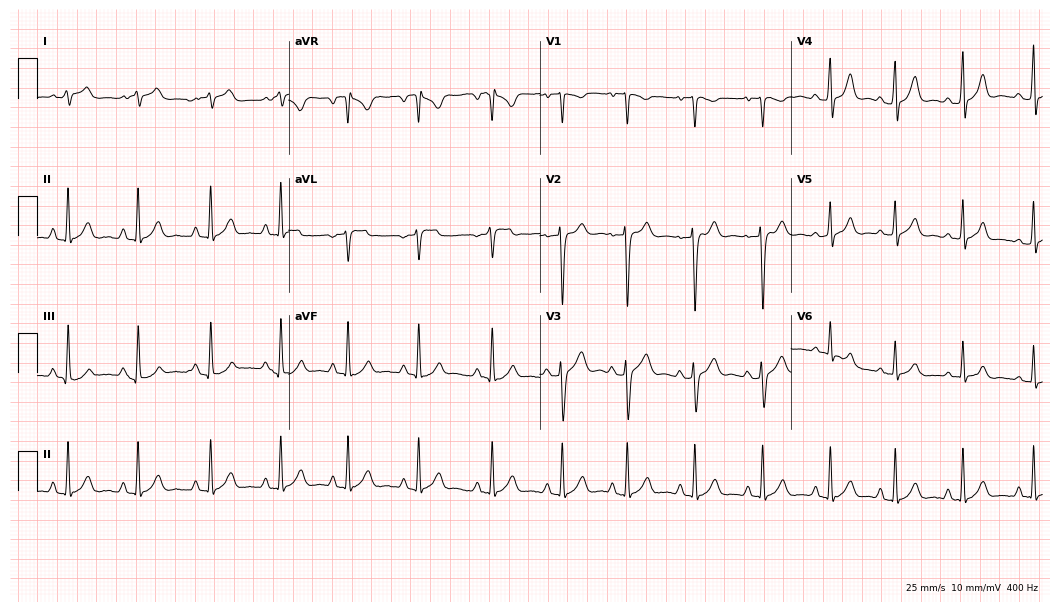
ECG (10.2-second recording at 400 Hz) — a male patient, 23 years old. Screened for six findings — first-degree AV block, right bundle branch block, left bundle branch block, sinus bradycardia, atrial fibrillation, sinus tachycardia — none is recorded. Other findings, if any, are not listed.